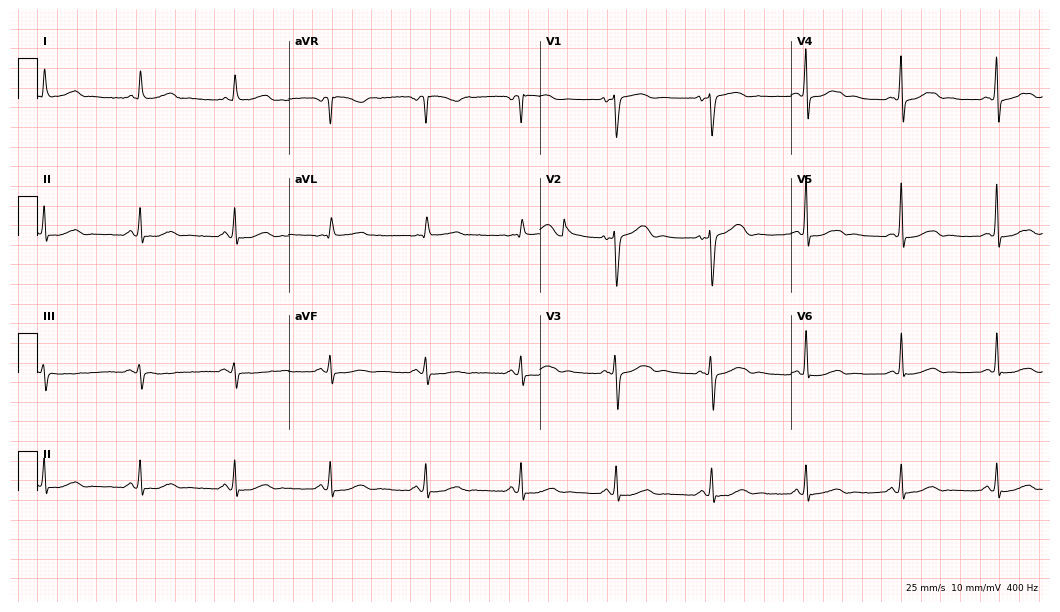
Electrocardiogram (10.2-second recording at 400 Hz), a 71-year-old female. Overall reading on record: normal ECG.